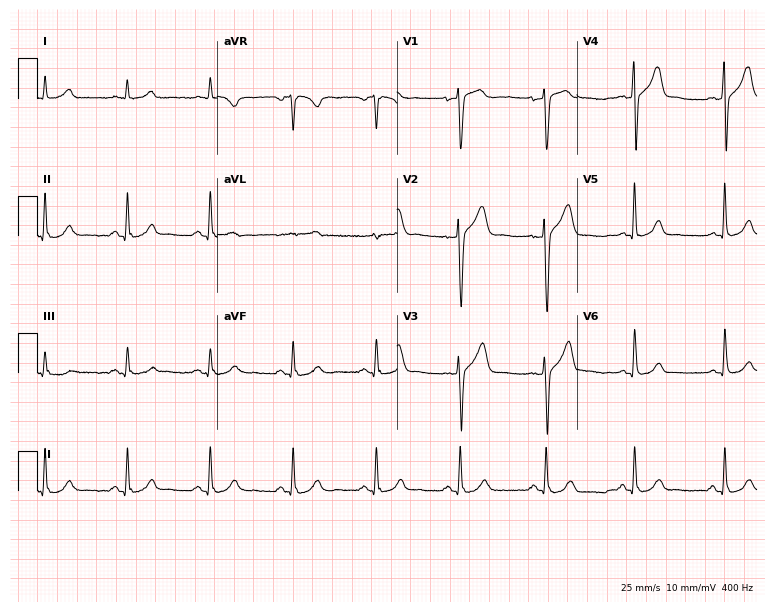
Electrocardiogram, a man, 61 years old. Overall reading on record: normal ECG.